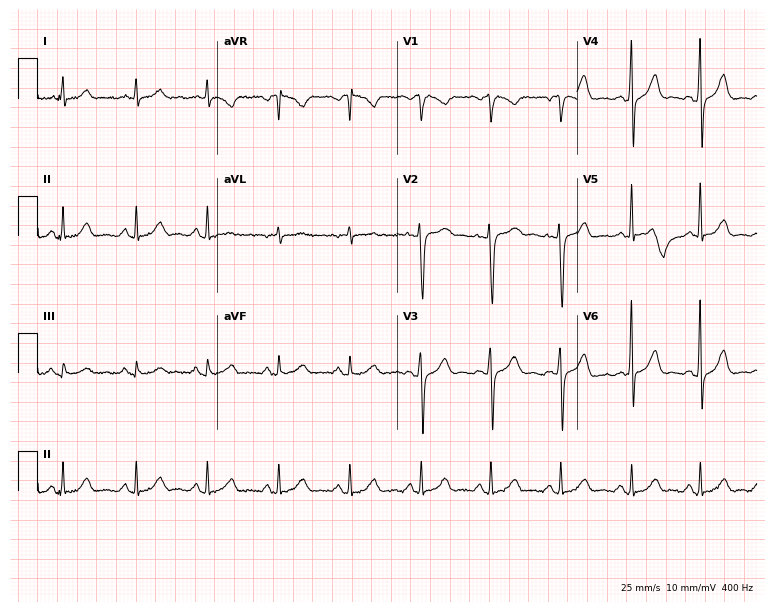
Resting 12-lead electrocardiogram (7.3-second recording at 400 Hz). Patient: a 45-year-old female. Read as a normal ECG.